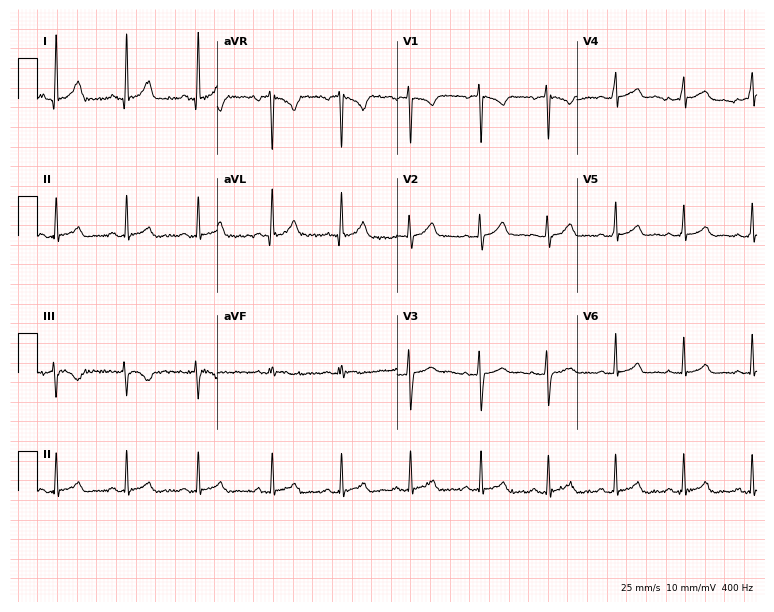
12-lead ECG from a 27-year-old female (7.3-second recording at 400 Hz). Recorded interpretation: within normal limits.